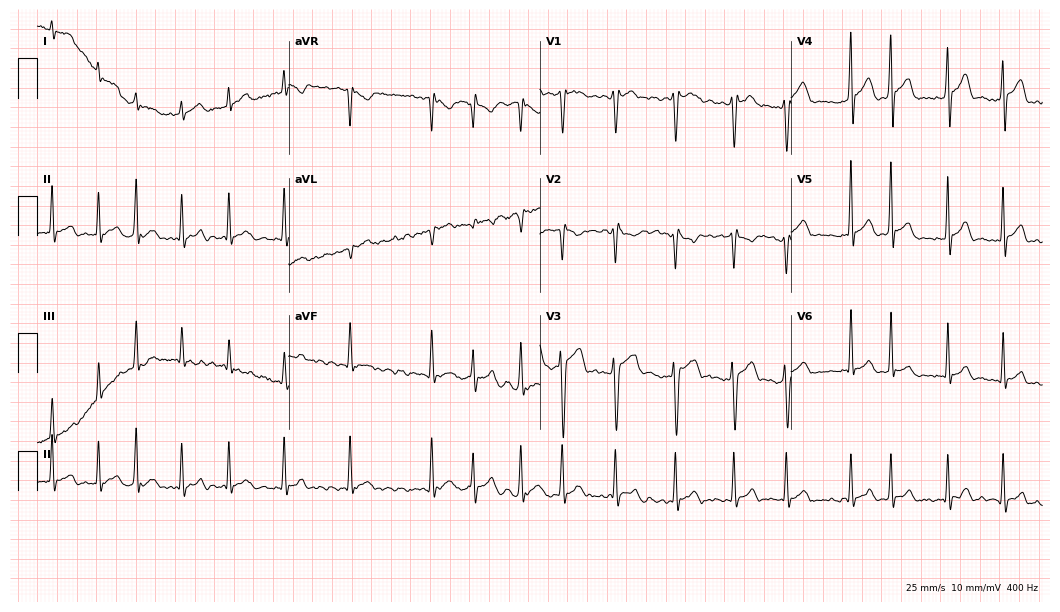
Standard 12-lead ECG recorded from a 27-year-old male. The tracing shows atrial fibrillation (AF), sinus tachycardia (a sinus rate of 100 beats per minute or more).